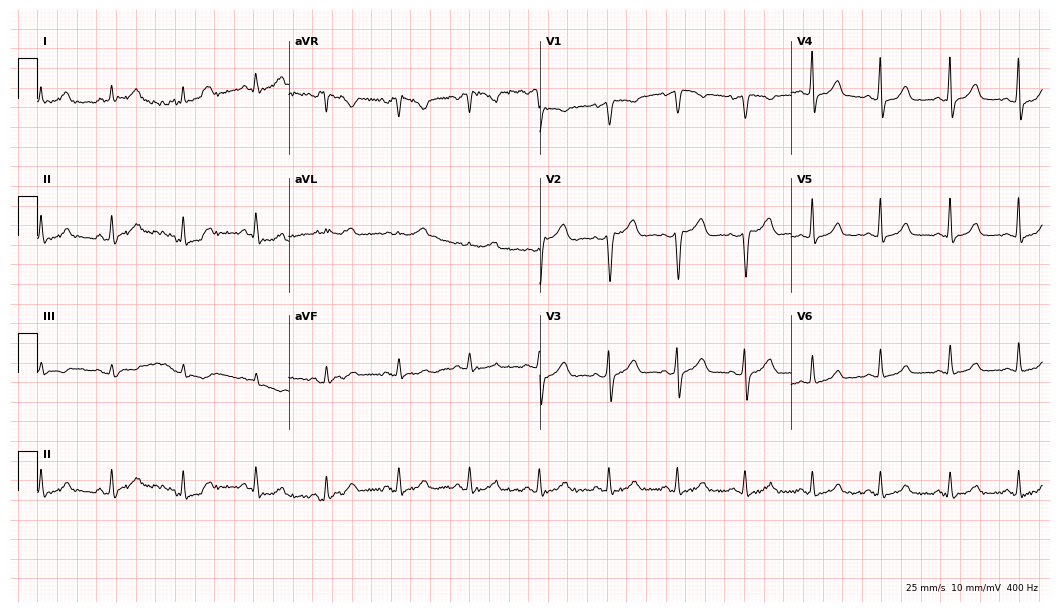
Standard 12-lead ECG recorded from a woman, 54 years old. None of these six findings is recorded: first-degree AV block, right bundle branch block, left bundle branch block, sinus bradycardia, atrial fibrillation, sinus tachycardia. Only these six findings were labelled.